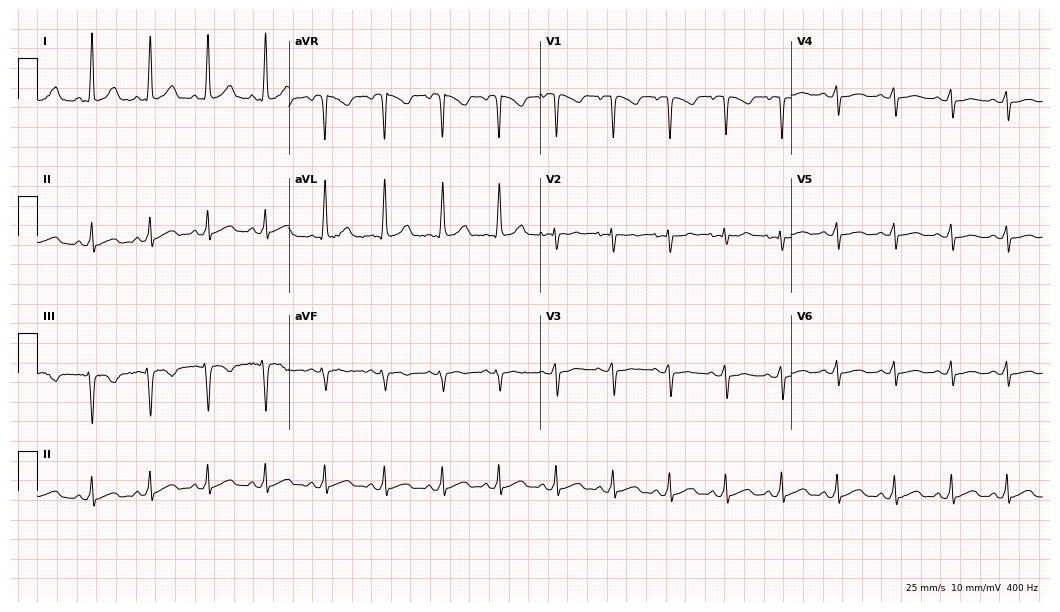
Standard 12-lead ECG recorded from a female patient, 28 years old. The tracing shows sinus tachycardia (a sinus rate of 100 beats per minute or more).